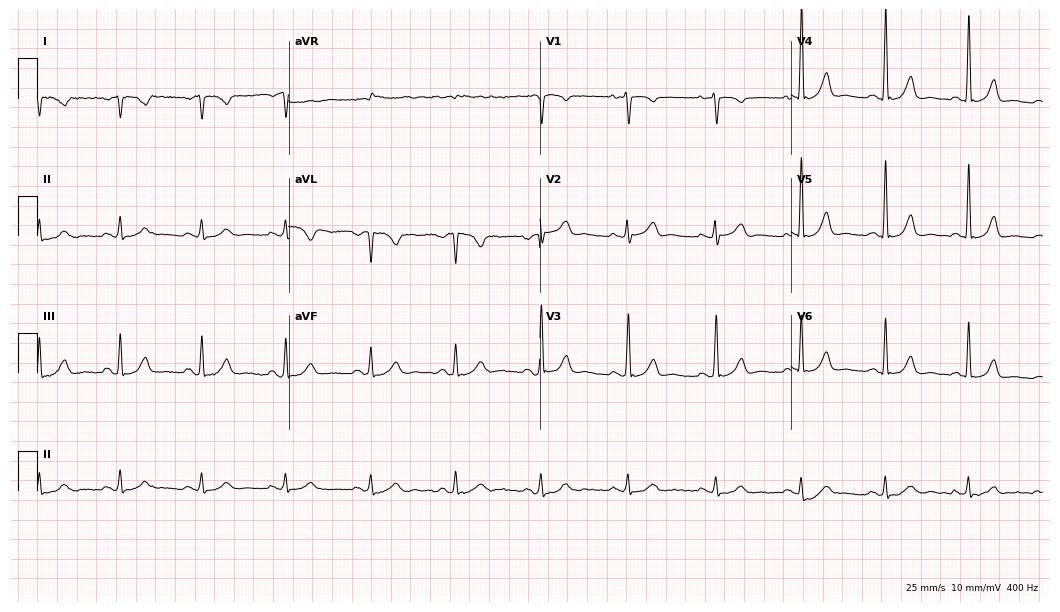
Electrocardiogram, a 53-year-old man. Of the six screened findings (first-degree AV block, right bundle branch block, left bundle branch block, sinus bradycardia, atrial fibrillation, sinus tachycardia), none is recorded.